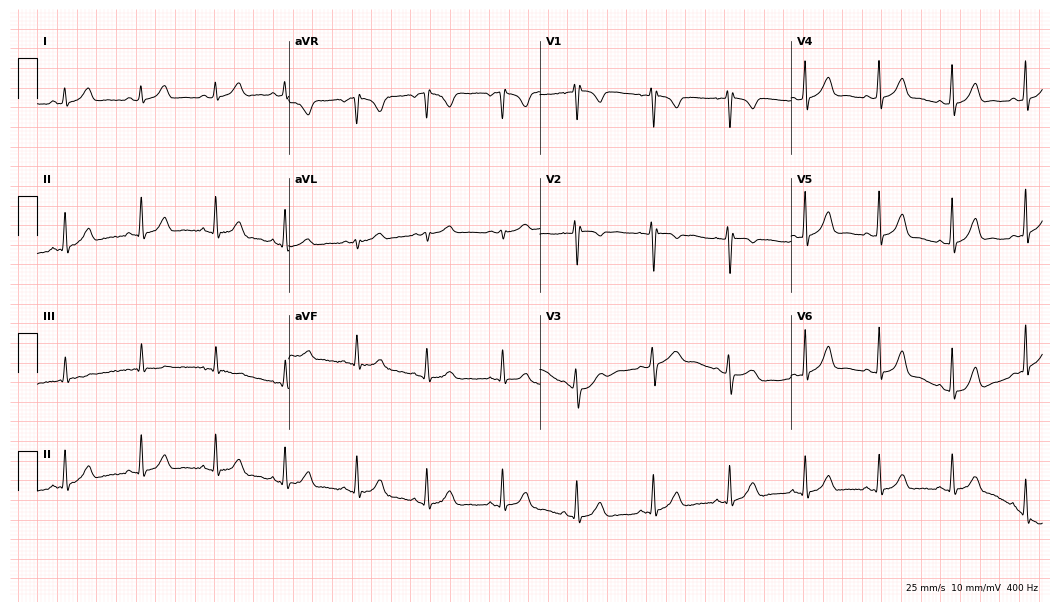
Resting 12-lead electrocardiogram (10.2-second recording at 400 Hz). Patient: a 29-year-old woman. Read as a normal ECG.